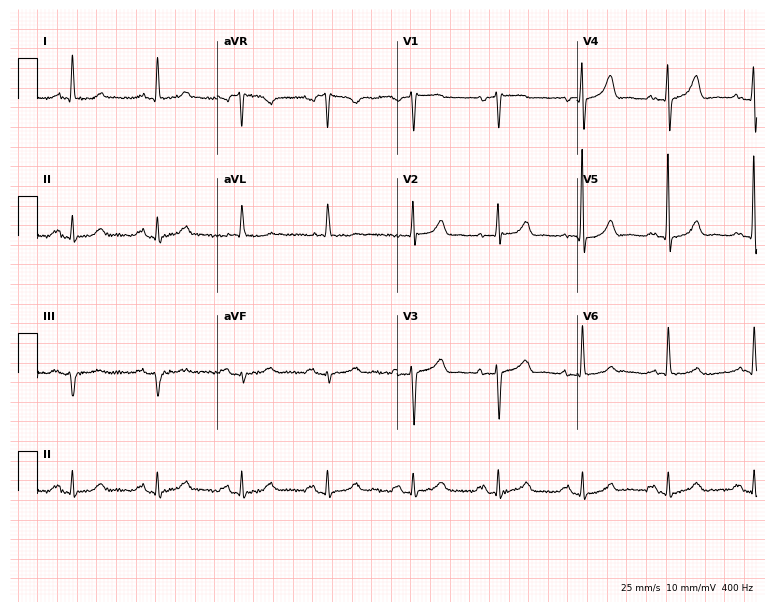
Resting 12-lead electrocardiogram (7.3-second recording at 400 Hz). Patient: an 80-year-old woman. Read as a normal ECG.